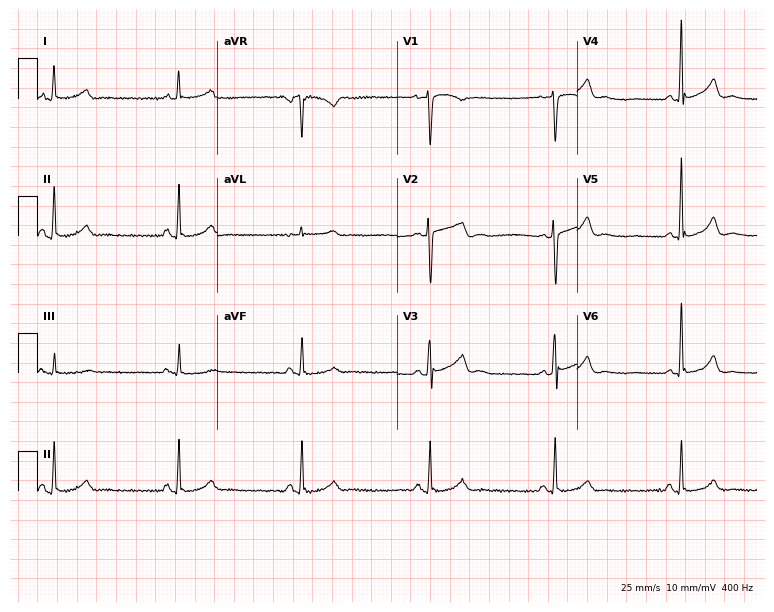
12-lead ECG (7.3-second recording at 400 Hz) from a 42-year-old female. Findings include sinus bradycardia (a sinus rate of 50 beats per minute or less).